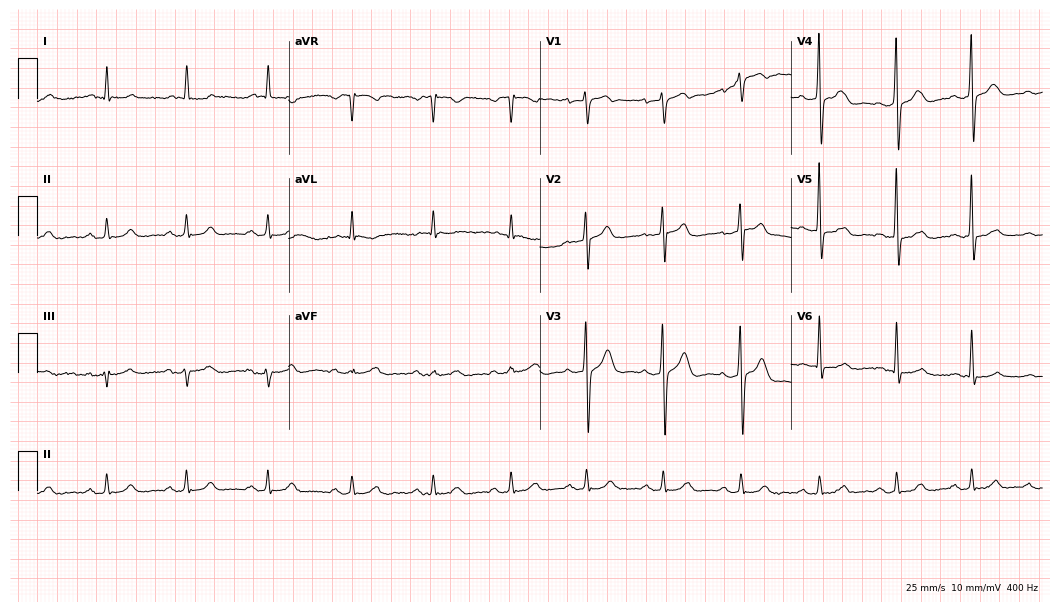
12-lead ECG from a man, 64 years old (10.2-second recording at 400 Hz). Recorded interpretation: within normal limits.